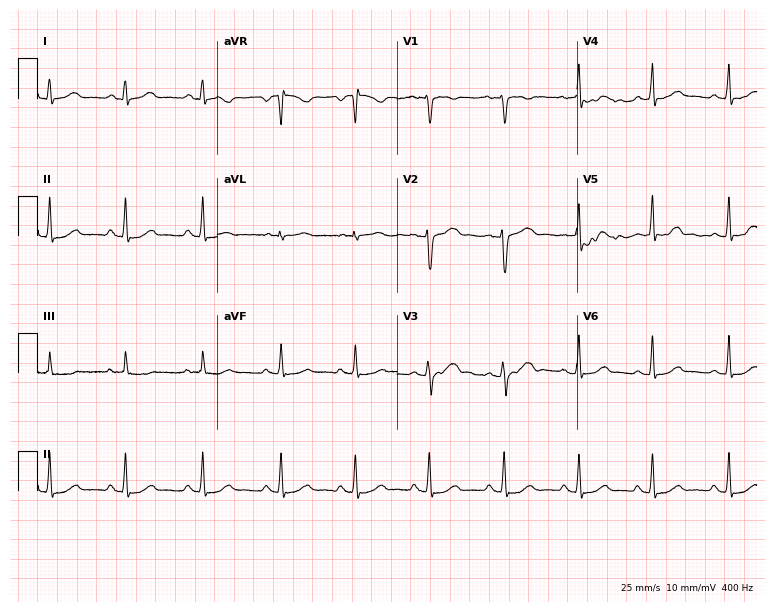
ECG — a woman, 26 years old. Labelled as a normal ECG.